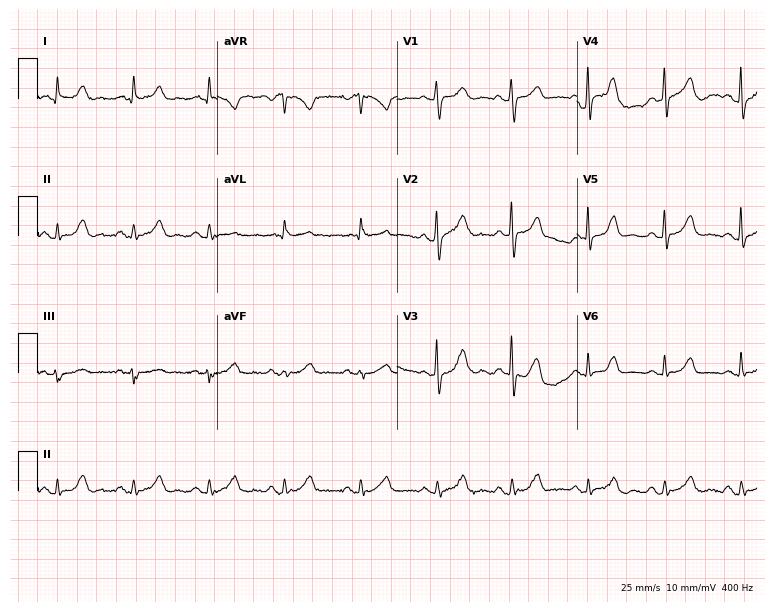
ECG (7.3-second recording at 400 Hz) — a 77-year-old female patient. Labelled as a normal ECG.